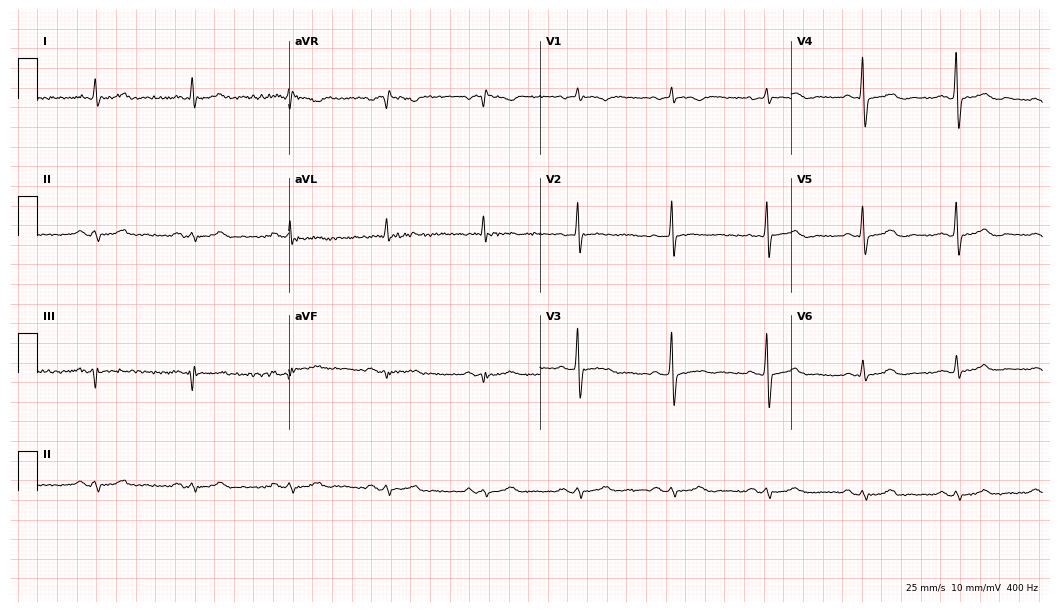
12-lead ECG from a 68-year-old male patient (10.2-second recording at 400 Hz). No first-degree AV block, right bundle branch block (RBBB), left bundle branch block (LBBB), sinus bradycardia, atrial fibrillation (AF) or sinus tachycardia recorded for this tracing. Only these six findings were labelled.